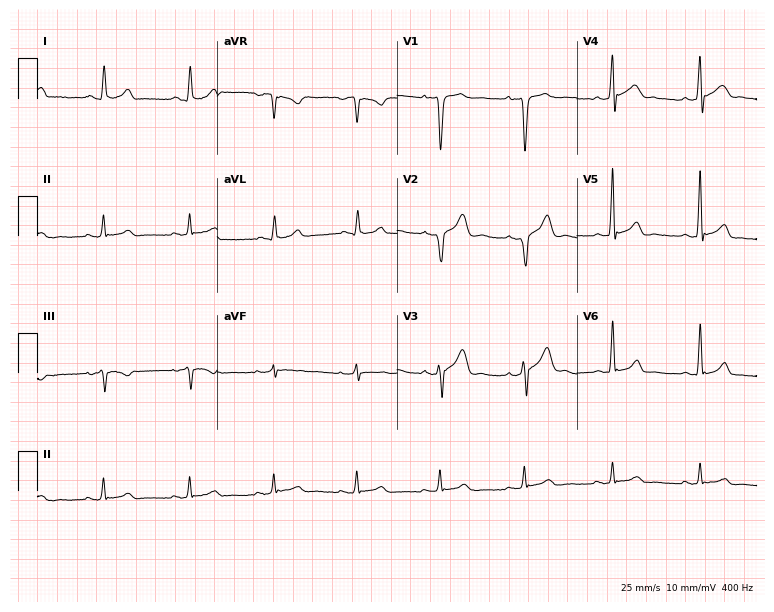
Electrocardiogram (7.3-second recording at 400 Hz), a male, 26 years old. Of the six screened findings (first-degree AV block, right bundle branch block, left bundle branch block, sinus bradycardia, atrial fibrillation, sinus tachycardia), none is recorded.